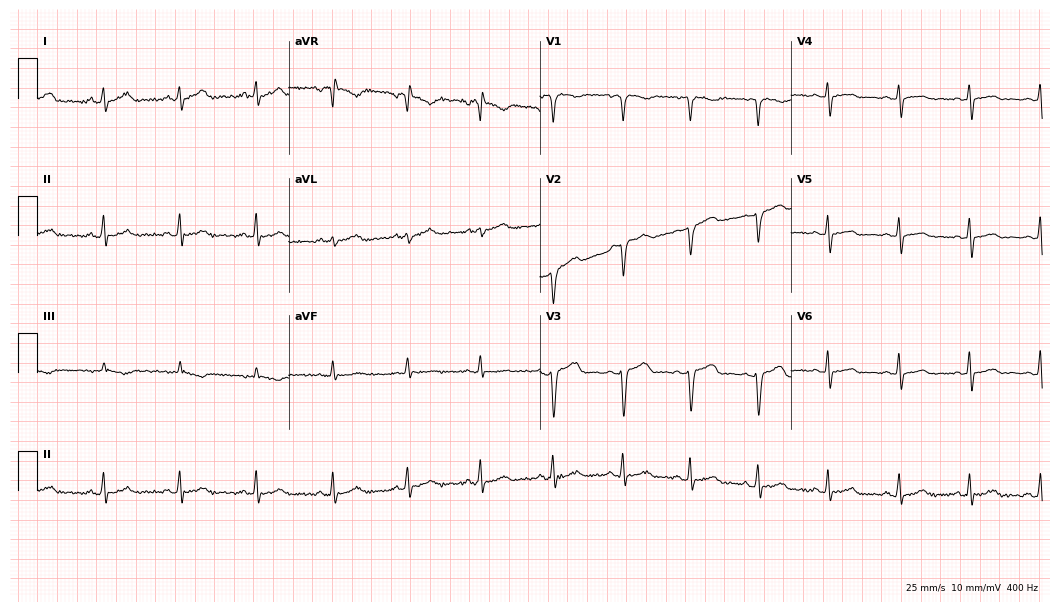
Electrocardiogram (10.2-second recording at 400 Hz), a female patient, 33 years old. Of the six screened findings (first-degree AV block, right bundle branch block (RBBB), left bundle branch block (LBBB), sinus bradycardia, atrial fibrillation (AF), sinus tachycardia), none is recorded. Other findings, if any, are not listed.